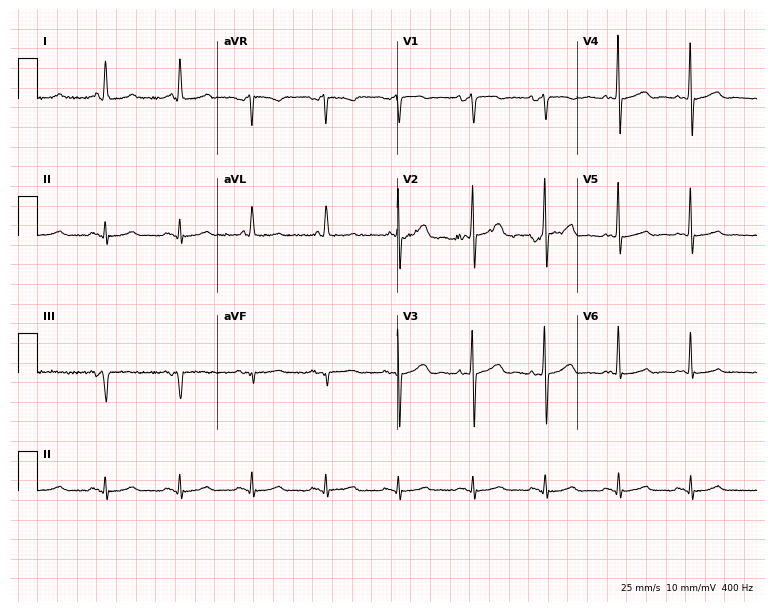
Resting 12-lead electrocardiogram (7.3-second recording at 400 Hz). Patient: a female, 59 years old. None of these six findings is recorded: first-degree AV block, right bundle branch block, left bundle branch block, sinus bradycardia, atrial fibrillation, sinus tachycardia. Only these six findings were labelled.